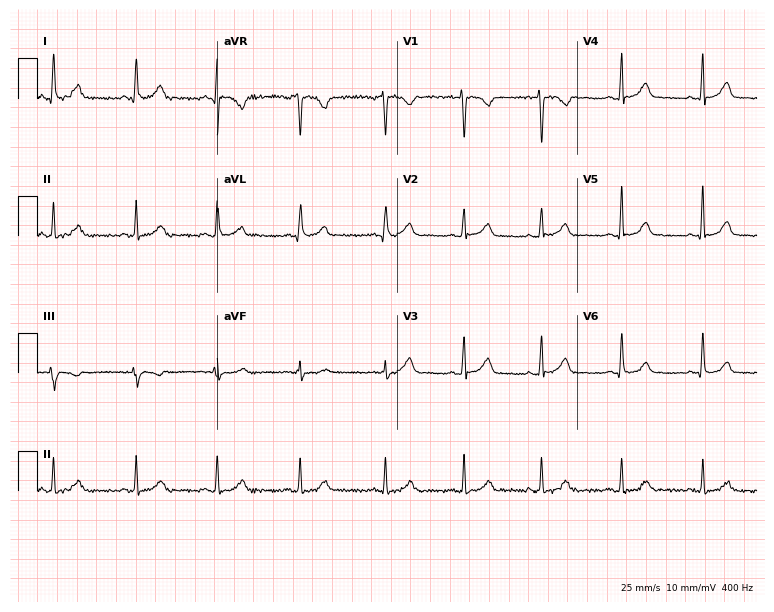
Standard 12-lead ECG recorded from a 42-year-old woman. Read as a normal ECG.